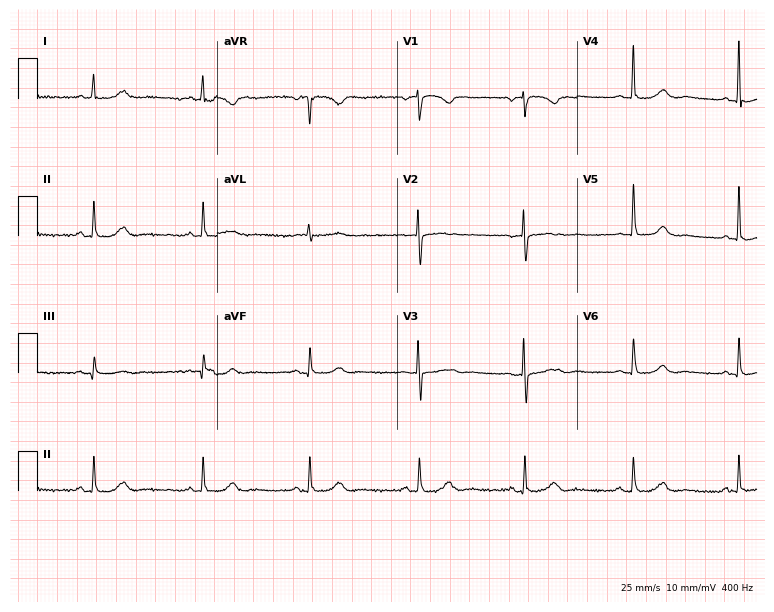
12-lead ECG from a 78-year-old female patient. Recorded interpretation: within normal limits.